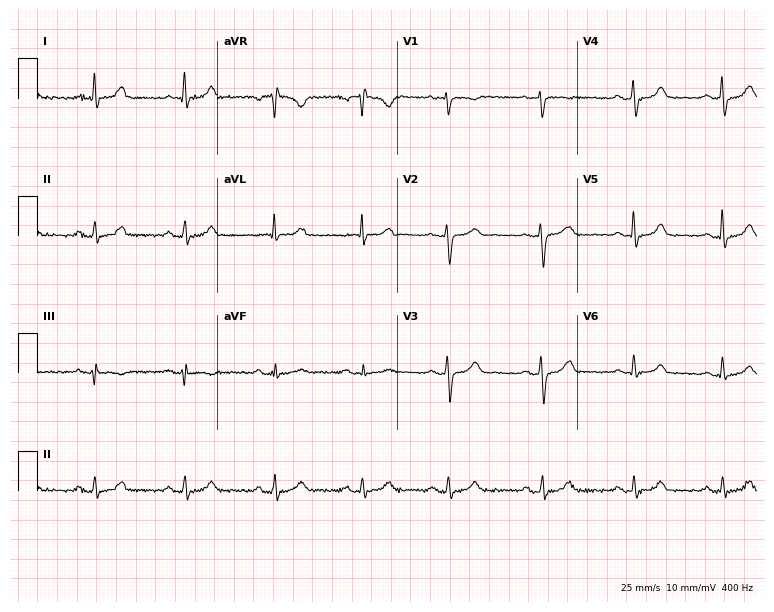
Standard 12-lead ECG recorded from a 54-year-old female. Read as a normal ECG.